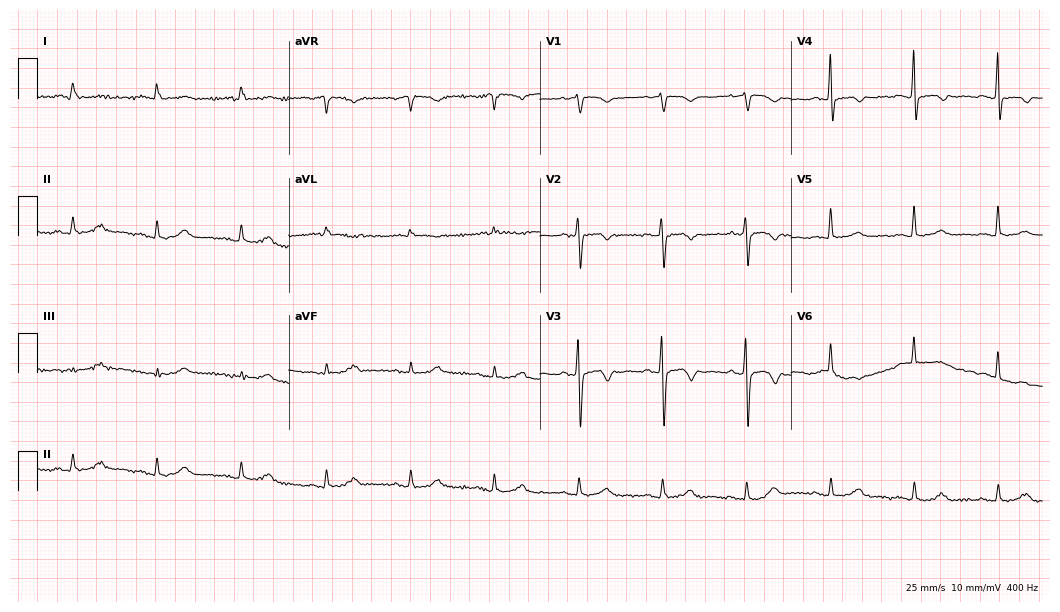
12-lead ECG from a woman, 79 years old. Screened for six findings — first-degree AV block, right bundle branch block, left bundle branch block, sinus bradycardia, atrial fibrillation, sinus tachycardia — none is recorded.